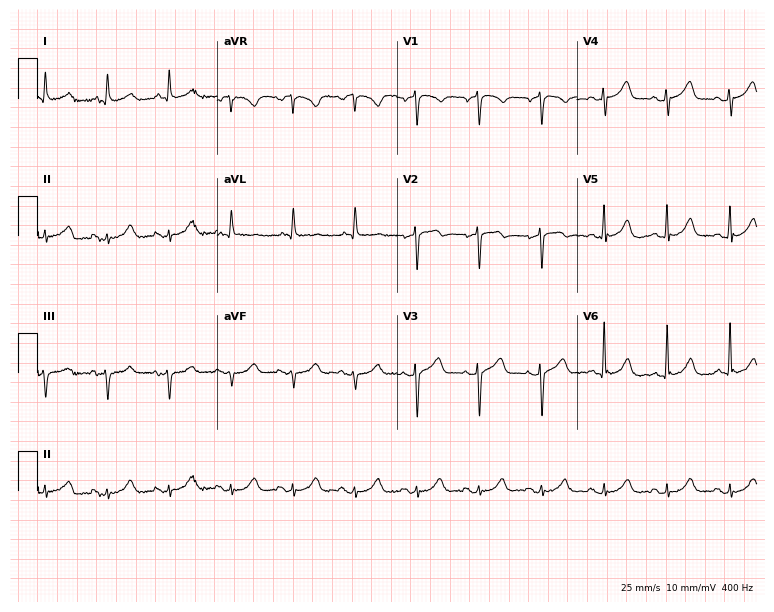
ECG (7.3-second recording at 400 Hz) — a man, 85 years old. Screened for six findings — first-degree AV block, right bundle branch block, left bundle branch block, sinus bradycardia, atrial fibrillation, sinus tachycardia — none is recorded.